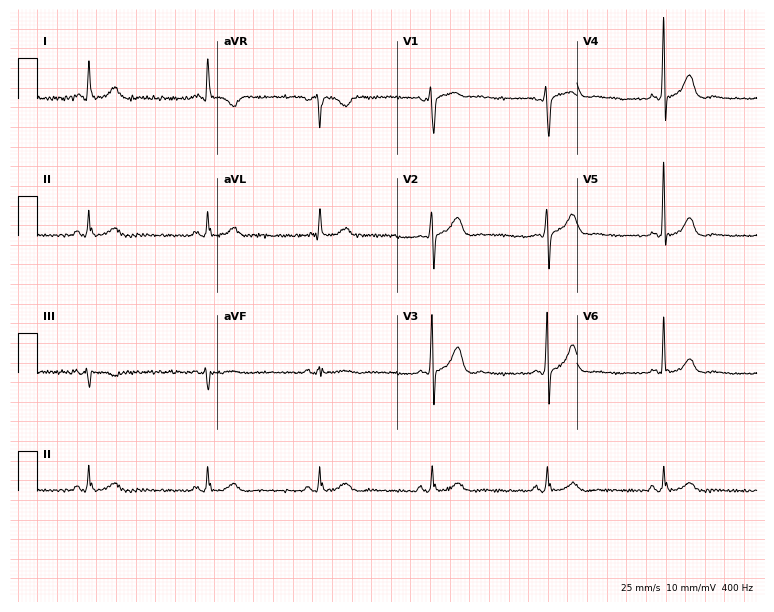
Electrocardiogram (7.3-second recording at 400 Hz), a 73-year-old male patient. Overall reading on record: normal ECG.